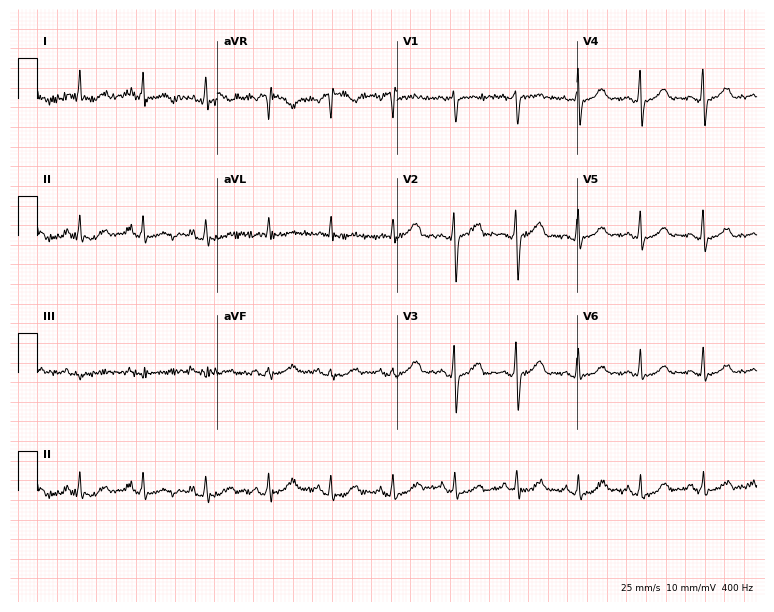
ECG — a 54-year-old female. Screened for six findings — first-degree AV block, right bundle branch block, left bundle branch block, sinus bradycardia, atrial fibrillation, sinus tachycardia — none is recorded.